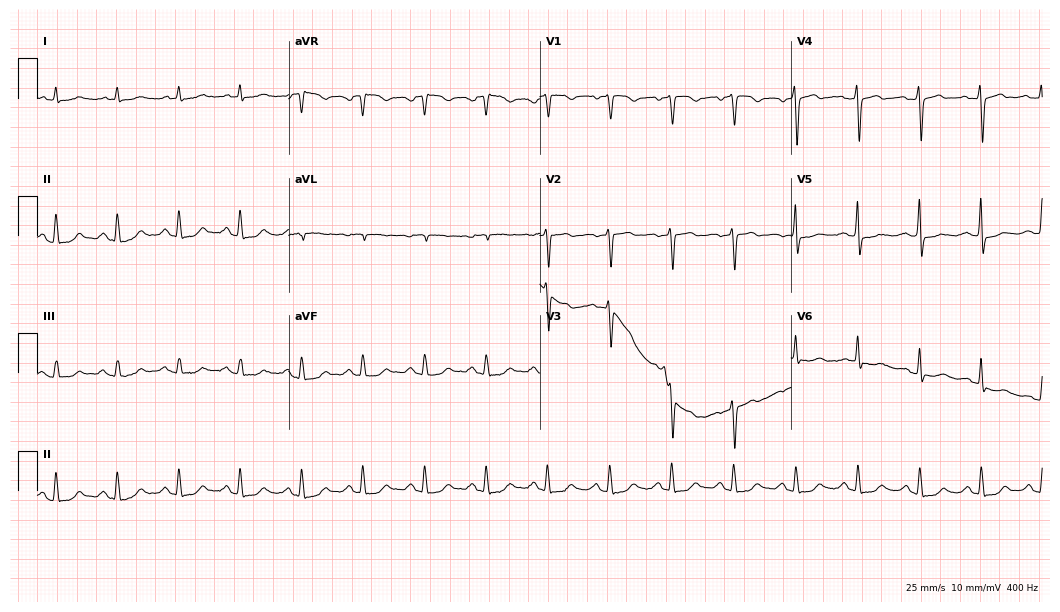
Electrocardiogram, a female patient, 77 years old. Overall reading on record: normal ECG.